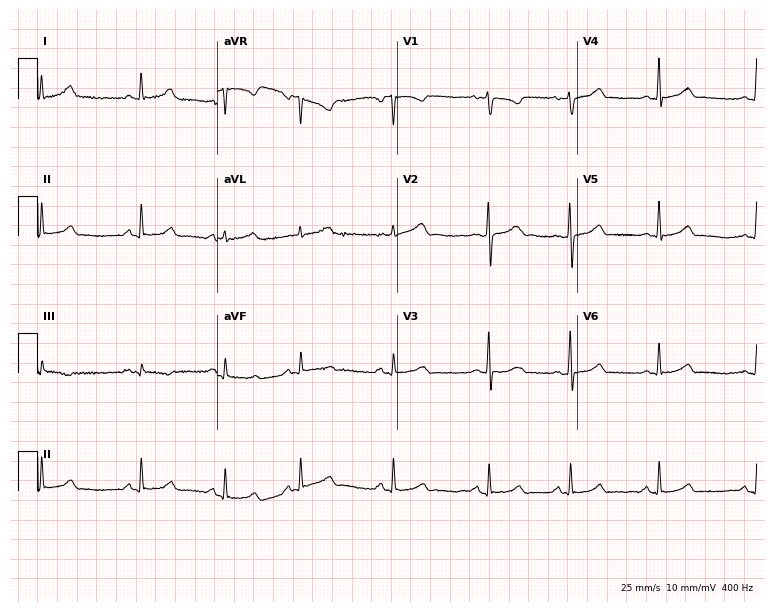
12-lead ECG from a 26-year-old female patient. Recorded interpretation: within normal limits.